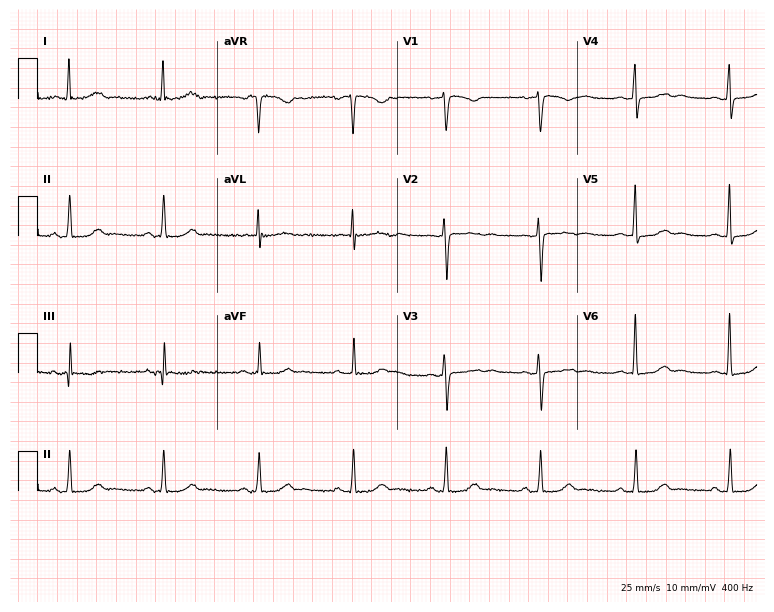
Resting 12-lead electrocardiogram. Patient: a 47-year-old female. Read as a normal ECG.